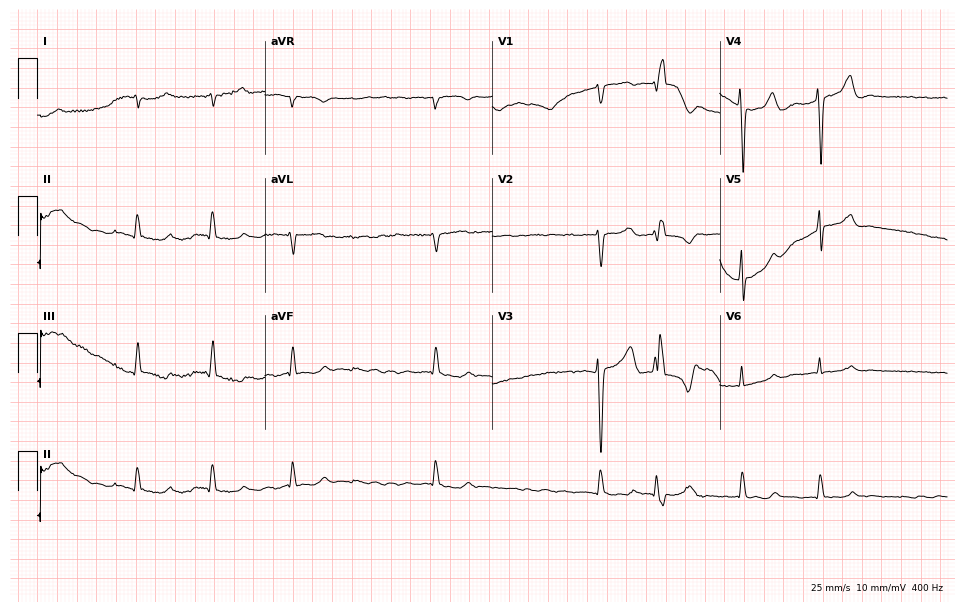
12-lead ECG from a man, 71 years old. Shows atrial fibrillation.